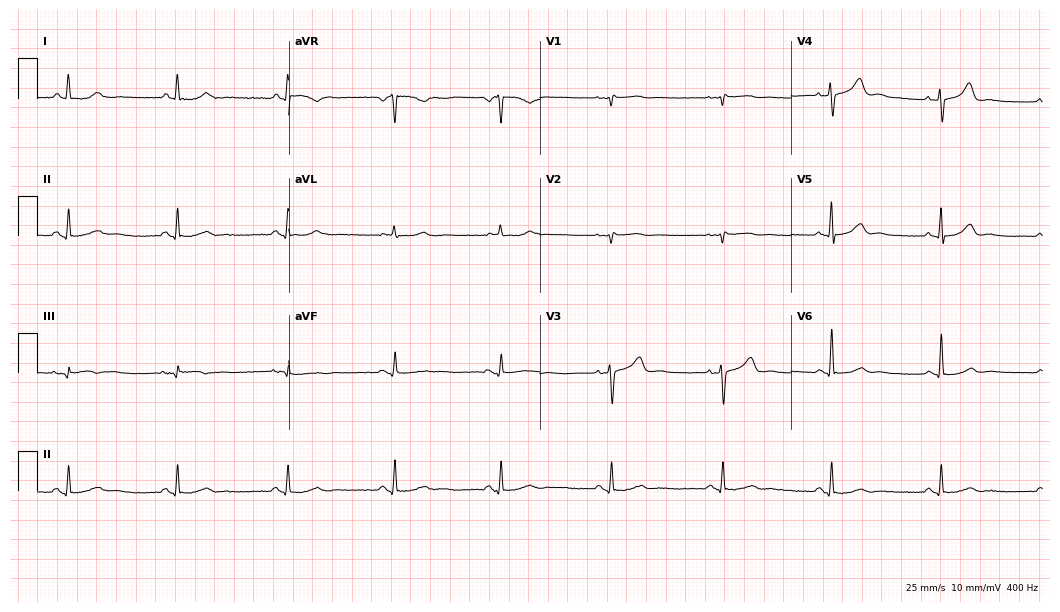
Standard 12-lead ECG recorded from a female, 52 years old (10.2-second recording at 400 Hz). Read as a normal ECG.